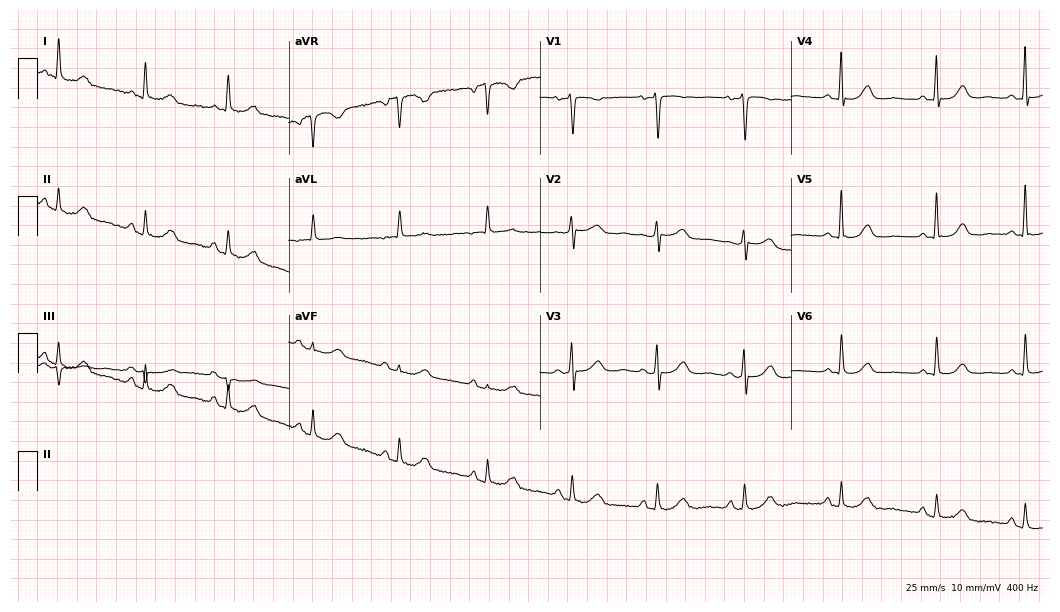
12-lead ECG from a female, 74 years old. Recorded interpretation: within normal limits.